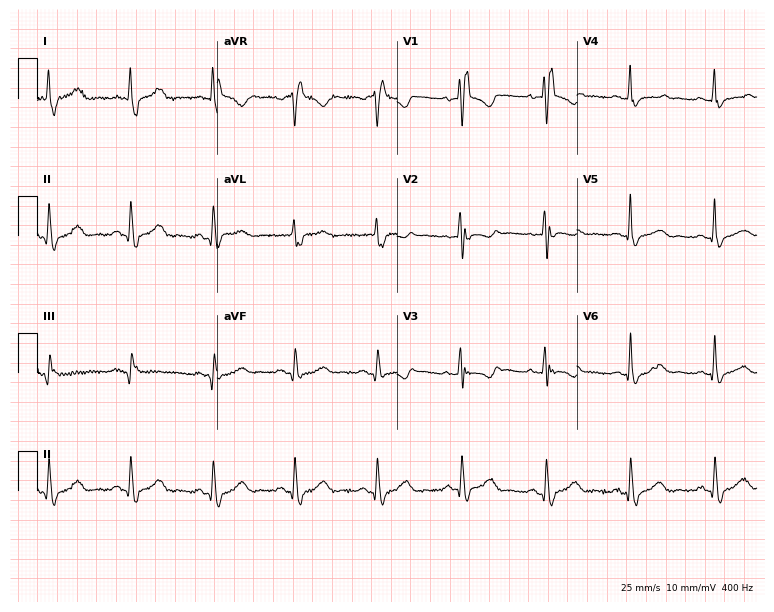
Resting 12-lead electrocardiogram (7.3-second recording at 400 Hz). Patient: a 31-year-old woman. None of these six findings is recorded: first-degree AV block, right bundle branch block (RBBB), left bundle branch block (LBBB), sinus bradycardia, atrial fibrillation (AF), sinus tachycardia.